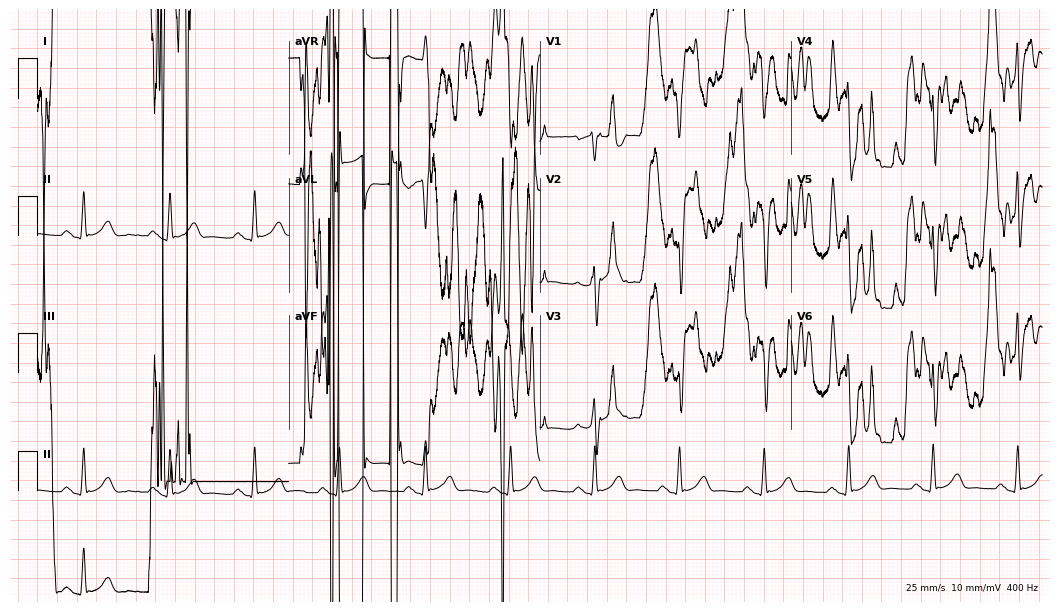
ECG — a 50-year-old male. Screened for six findings — first-degree AV block, right bundle branch block, left bundle branch block, sinus bradycardia, atrial fibrillation, sinus tachycardia — none is recorded.